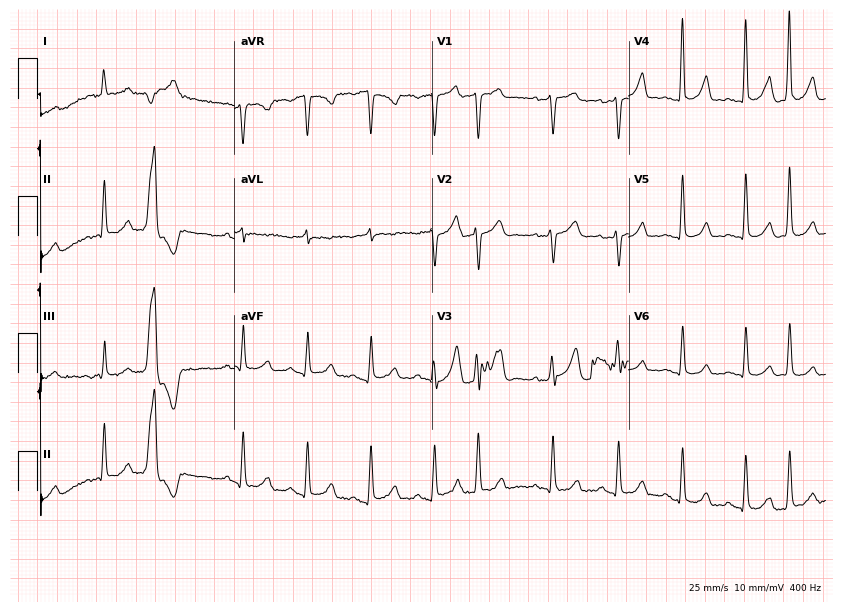
Standard 12-lead ECG recorded from a woman, 70 years old. None of these six findings is recorded: first-degree AV block, right bundle branch block (RBBB), left bundle branch block (LBBB), sinus bradycardia, atrial fibrillation (AF), sinus tachycardia.